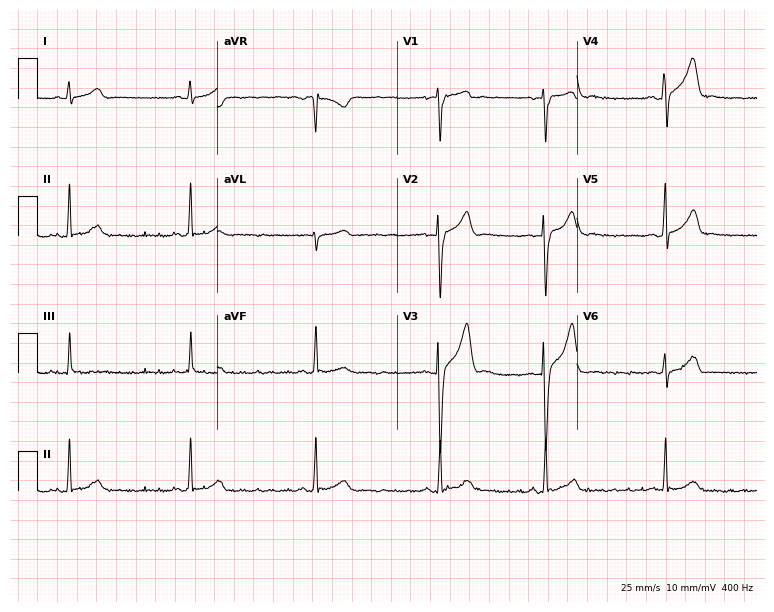
Resting 12-lead electrocardiogram. Patient: a 33-year-old male. The tracing shows sinus bradycardia (a sinus rate of 50 beats per minute or less).